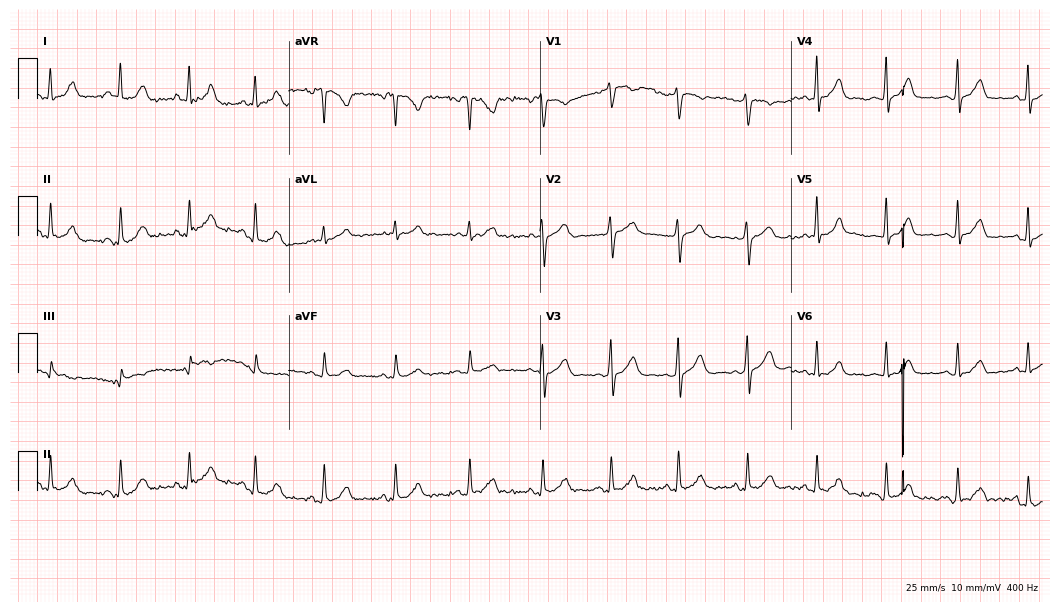
ECG — a female patient, 31 years old. Labelled as a normal ECG.